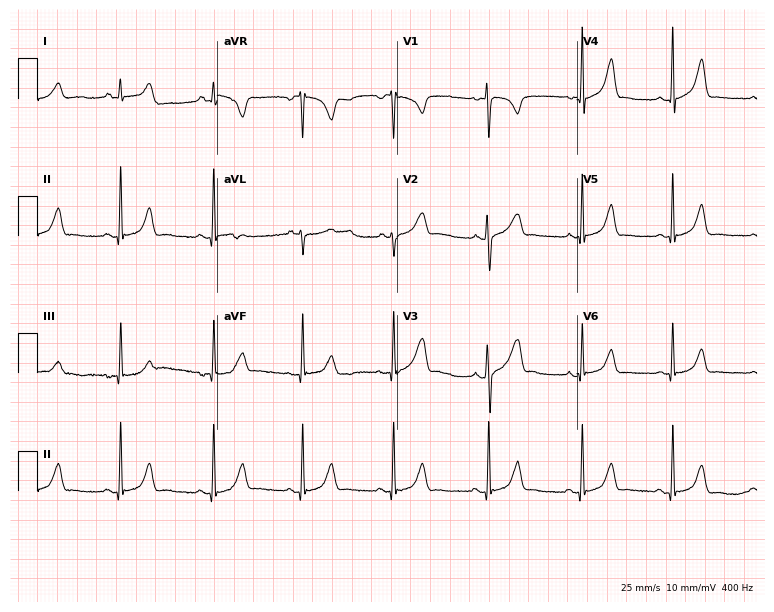
Resting 12-lead electrocardiogram (7.3-second recording at 400 Hz). Patient: a 21-year-old female. Read as a normal ECG.